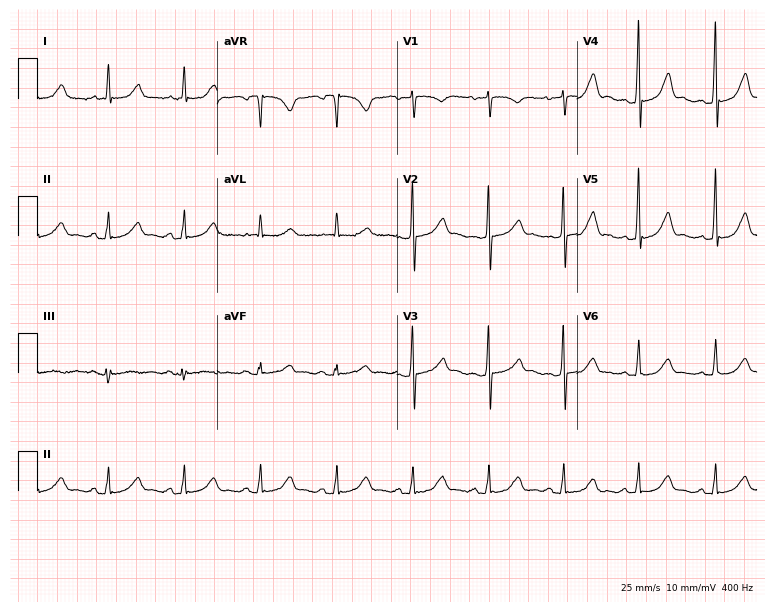
12-lead ECG from a female patient, 63 years old (7.3-second recording at 400 Hz). Recorded interpretation: within normal limits.